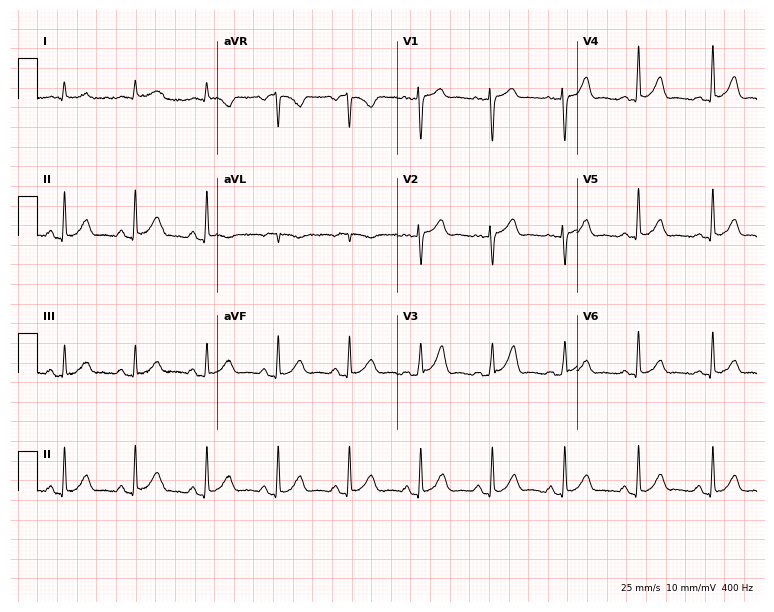
12-lead ECG from a man, 53 years old (7.3-second recording at 400 Hz). Recorded interpretation: within normal limits.